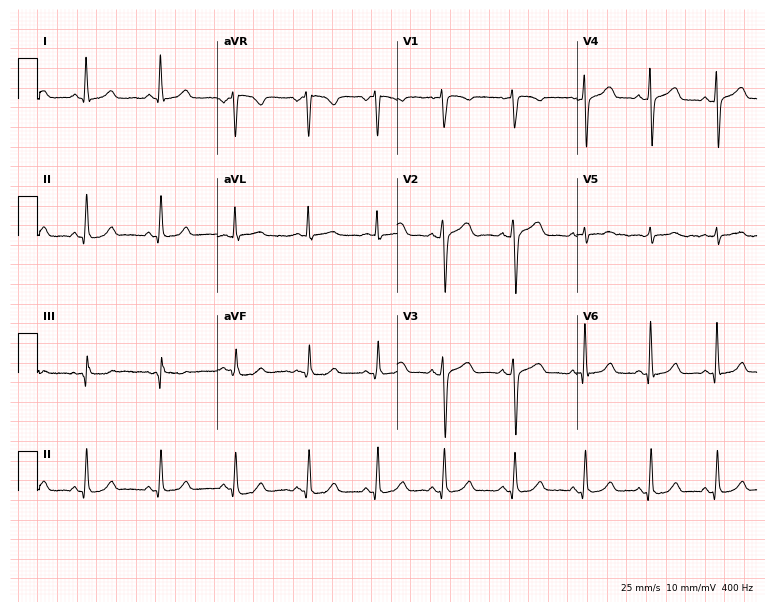
Resting 12-lead electrocardiogram. Patient: a female, 29 years old. Read as a normal ECG.